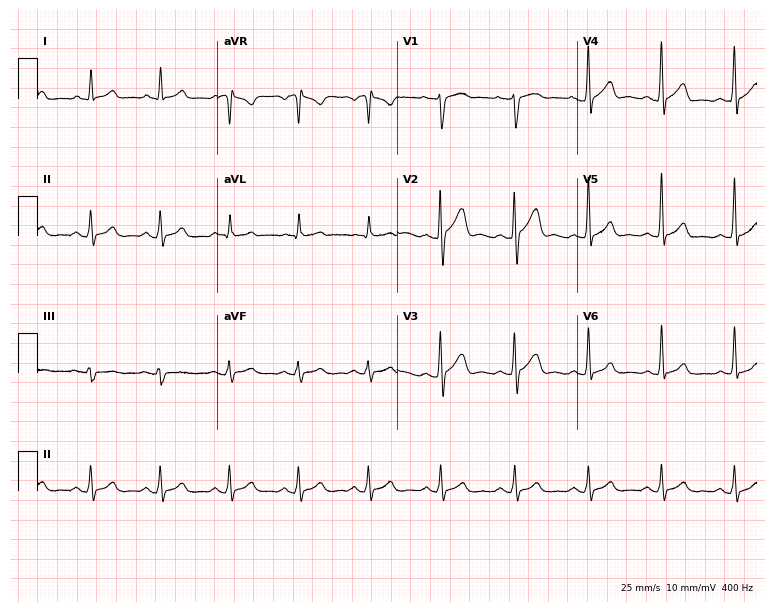
Resting 12-lead electrocardiogram. Patient: a 33-year-old male. None of these six findings is recorded: first-degree AV block, right bundle branch block, left bundle branch block, sinus bradycardia, atrial fibrillation, sinus tachycardia. Findings outside these six are not listed.